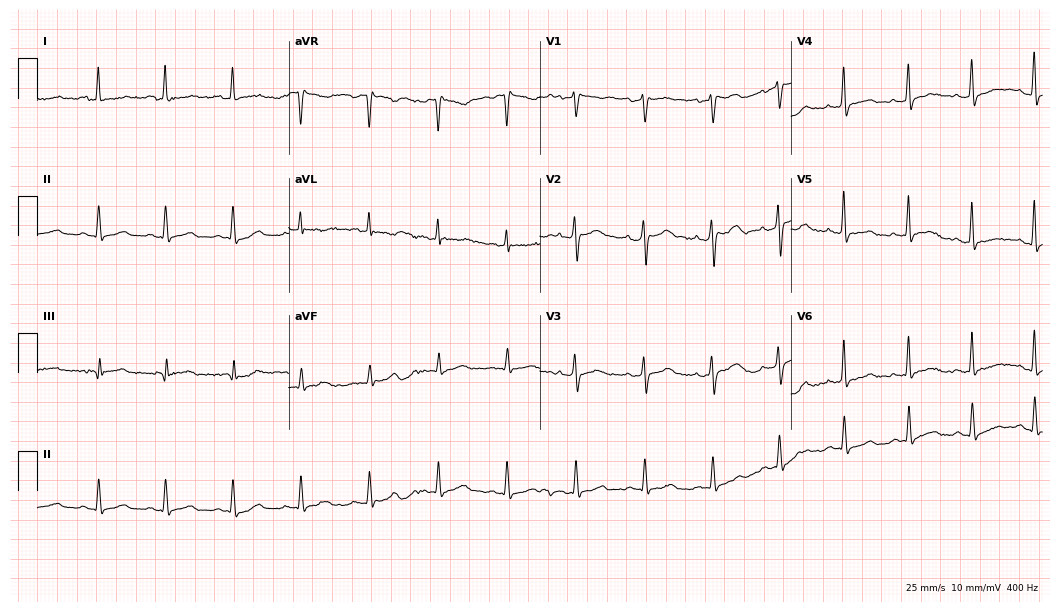
Standard 12-lead ECG recorded from a female patient, 46 years old. Read as a normal ECG.